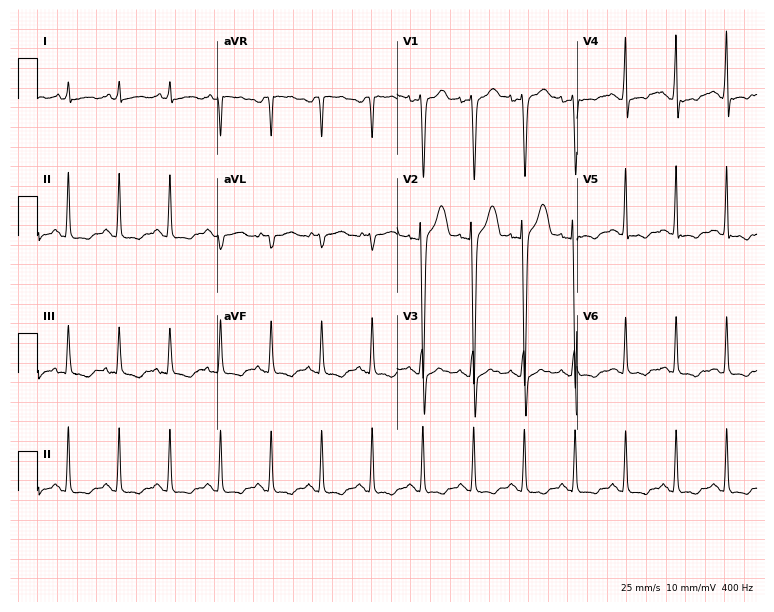
Electrocardiogram (7.3-second recording at 400 Hz), a man, 30 years old. Interpretation includes sinus tachycardia (a sinus rate of 100 beats per minute or more).